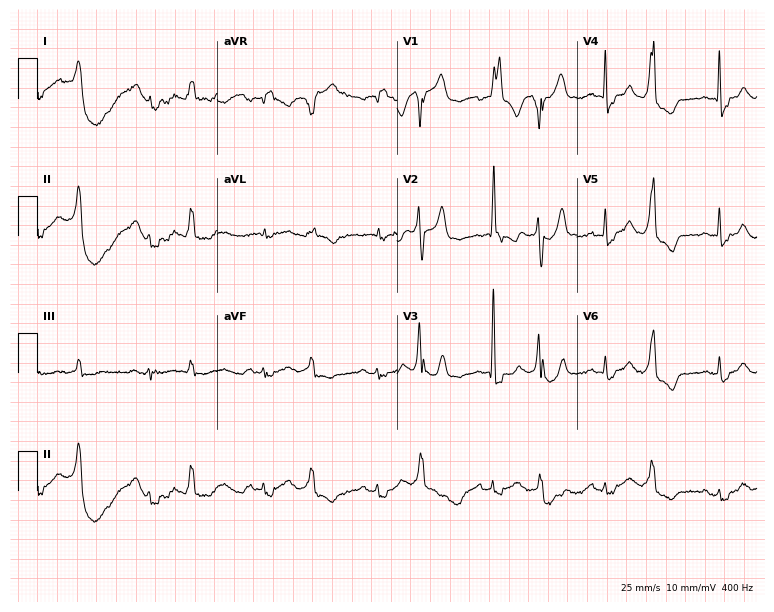
12-lead ECG from a man, 83 years old (7.3-second recording at 400 Hz). Shows right bundle branch block (RBBB).